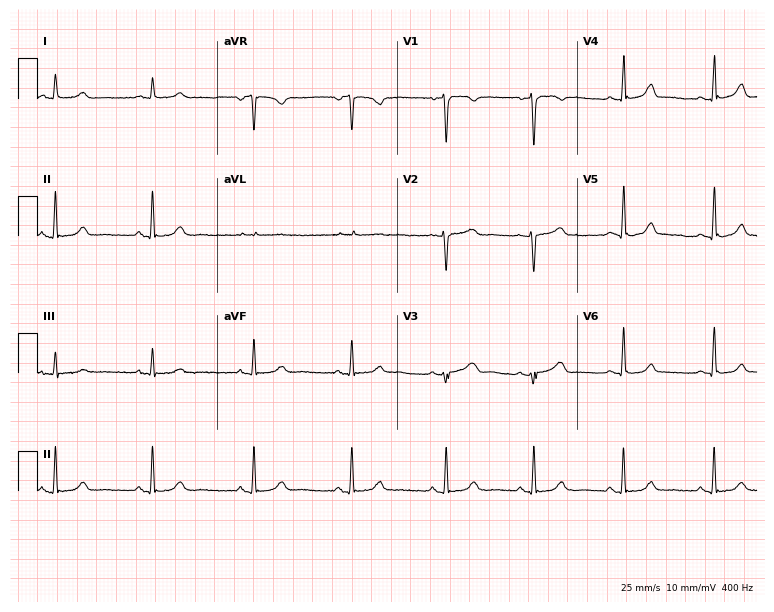
12-lead ECG from a 36-year-old female patient (7.3-second recording at 400 Hz). Recorded interpretation: within normal limits.